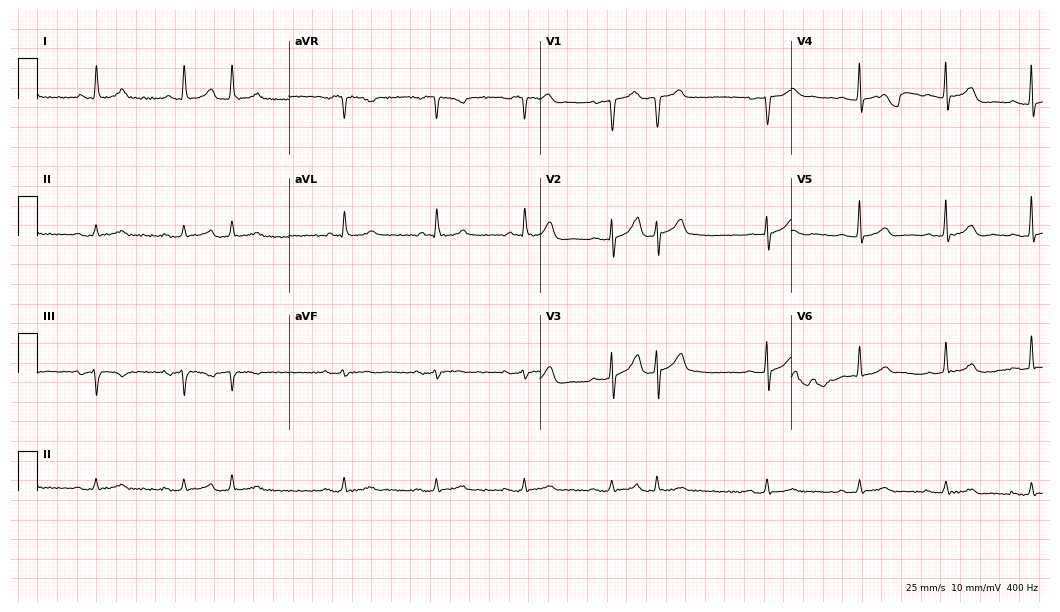
12-lead ECG (10.2-second recording at 400 Hz) from a male, 67 years old. Screened for six findings — first-degree AV block, right bundle branch block, left bundle branch block, sinus bradycardia, atrial fibrillation, sinus tachycardia — none is recorded. Findings outside these six are not listed.